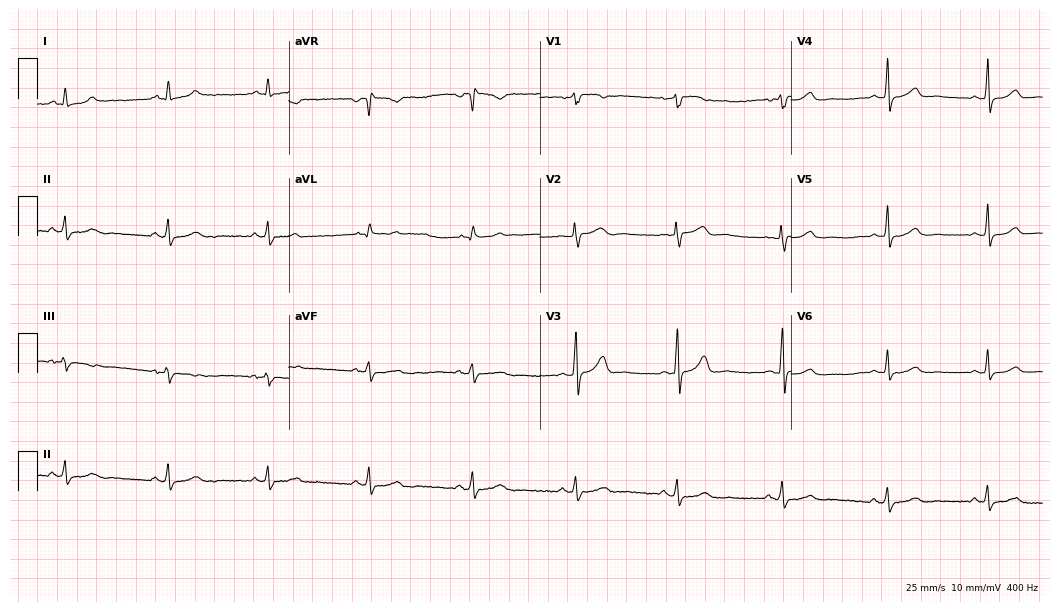
ECG — a 36-year-old female. Labelled as a normal ECG.